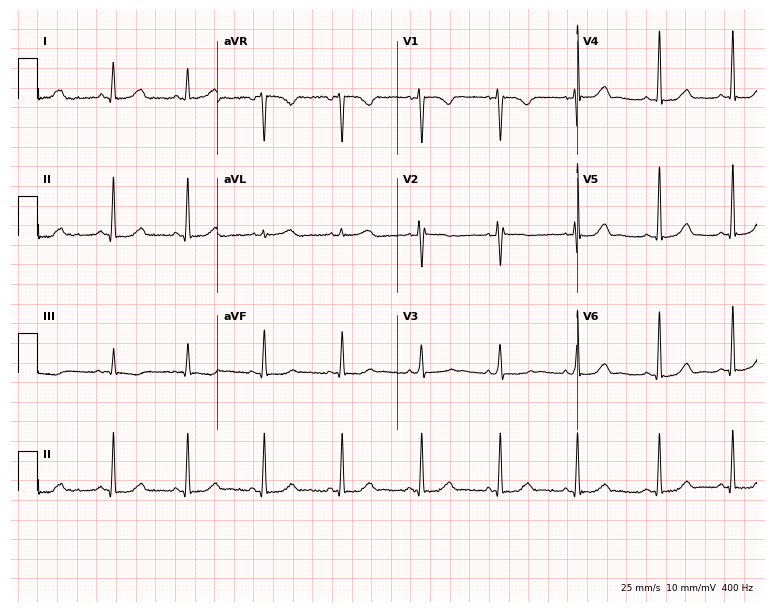
ECG (7.3-second recording at 400 Hz) — a female, 42 years old. Screened for six findings — first-degree AV block, right bundle branch block, left bundle branch block, sinus bradycardia, atrial fibrillation, sinus tachycardia — none is recorded. Only these six findings were labelled.